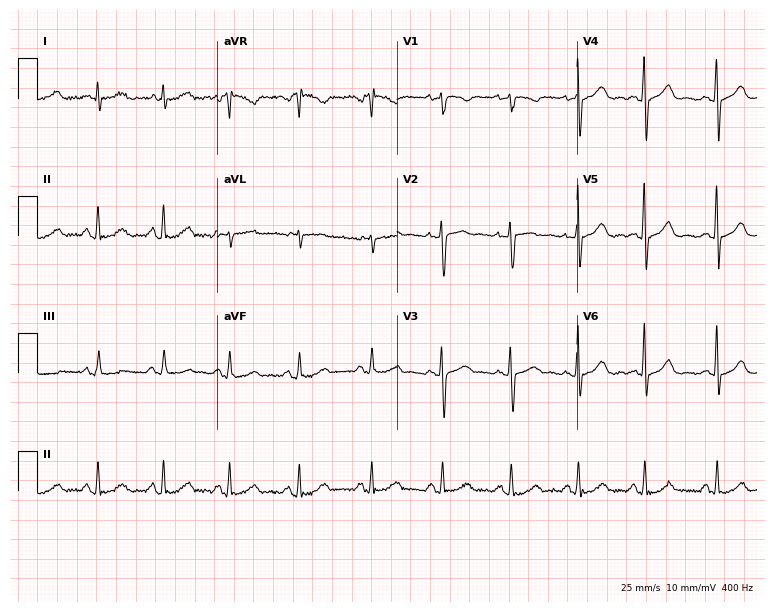
Resting 12-lead electrocardiogram. Patient: a 45-year-old woman. Read as a normal ECG.